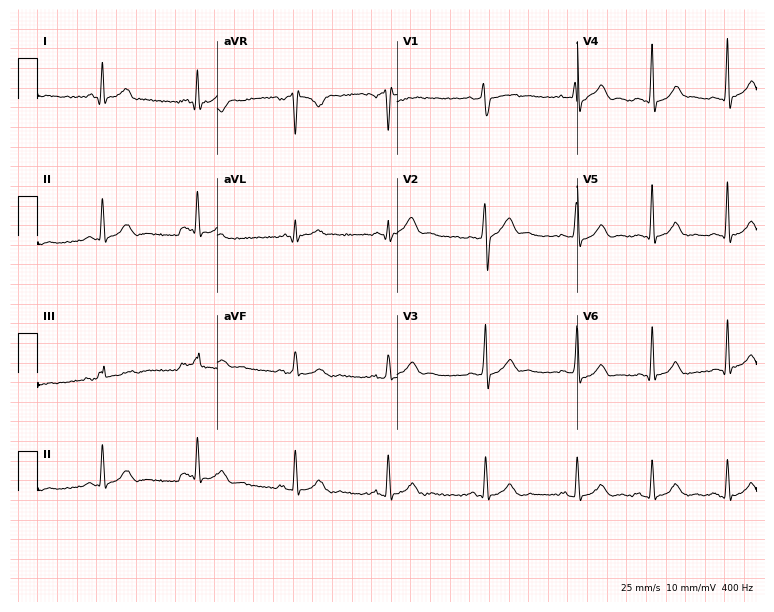
12-lead ECG from a male, 28 years old. Screened for six findings — first-degree AV block, right bundle branch block, left bundle branch block, sinus bradycardia, atrial fibrillation, sinus tachycardia — none is recorded.